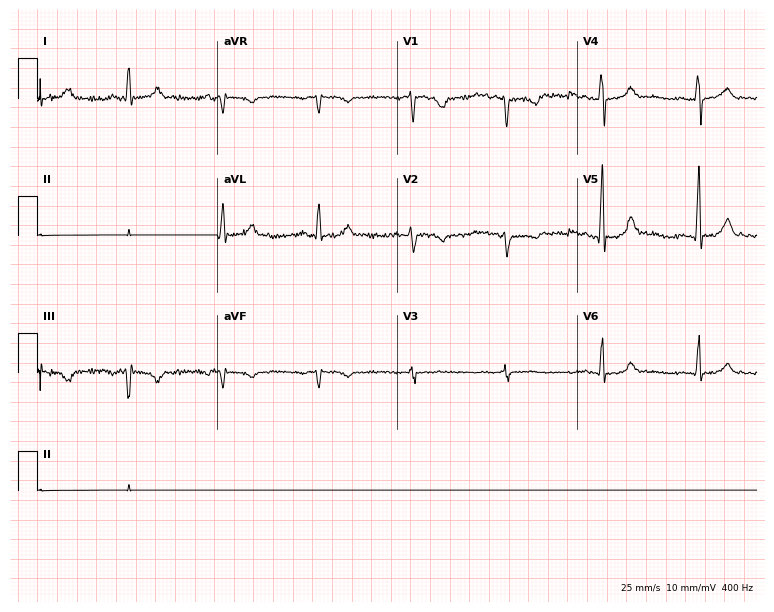
Electrocardiogram (7.3-second recording at 400 Hz), a female patient, 64 years old. Of the six screened findings (first-degree AV block, right bundle branch block (RBBB), left bundle branch block (LBBB), sinus bradycardia, atrial fibrillation (AF), sinus tachycardia), none is recorded. Only these six findings were labelled.